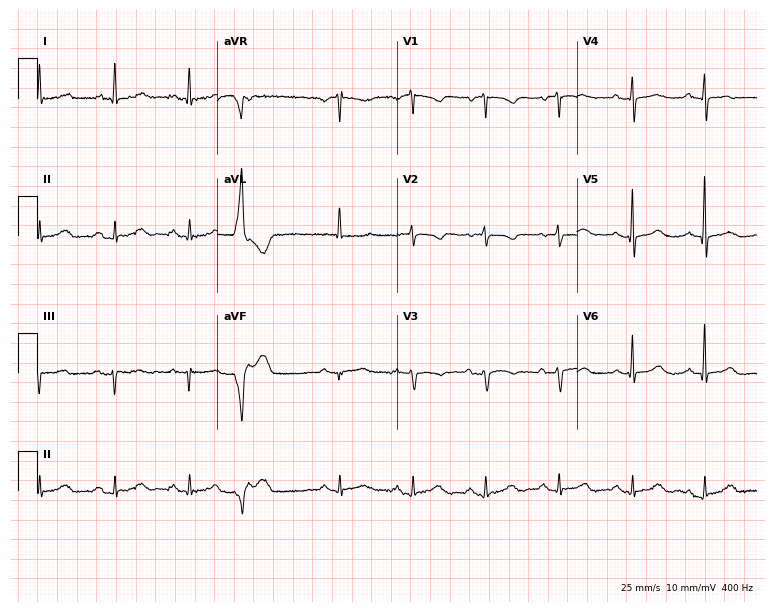
ECG (7.3-second recording at 400 Hz) — a woman, 79 years old. Screened for six findings — first-degree AV block, right bundle branch block (RBBB), left bundle branch block (LBBB), sinus bradycardia, atrial fibrillation (AF), sinus tachycardia — none is recorded. Only these six findings were labelled.